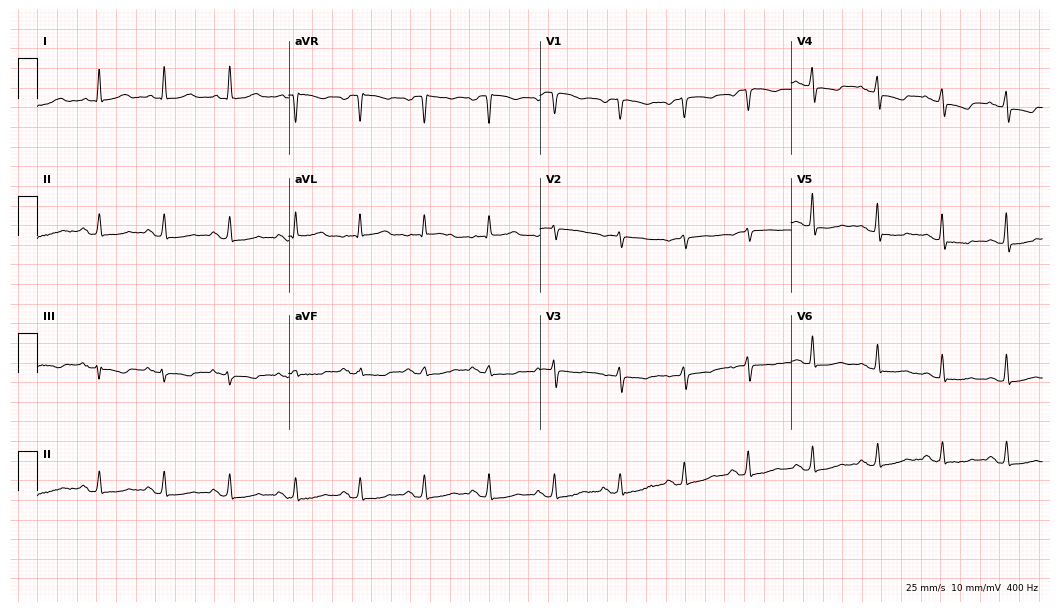
Resting 12-lead electrocardiogram (10.2-second recording at 400 Hz). Patient: a 73-year-old female. None of these six findings is recorded: first-degree AV block, right bundle branch block, left bundle branch block, sinus bradycardia, atrial fibrillation, sinus tachycardia.